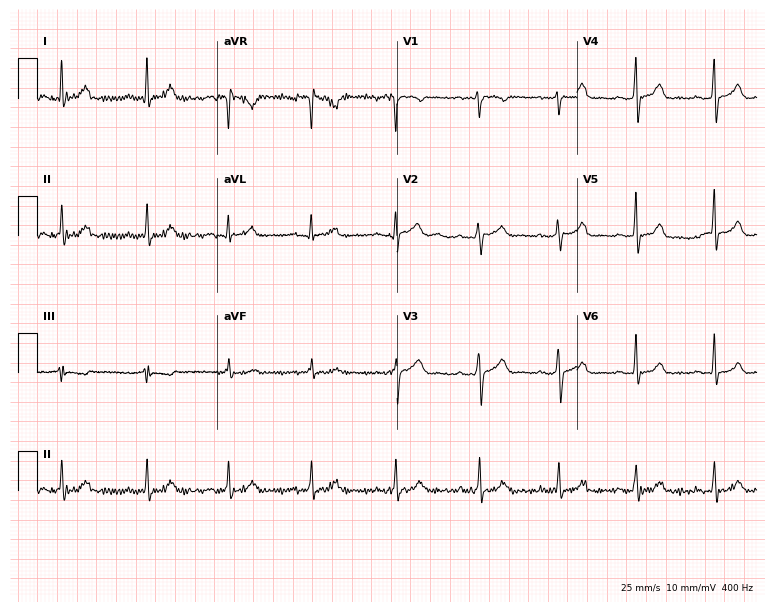
Electrocardiogram (7.3-second recording at 400 Hz), a 29-year-old female. Overall reading on record: normal ECG.